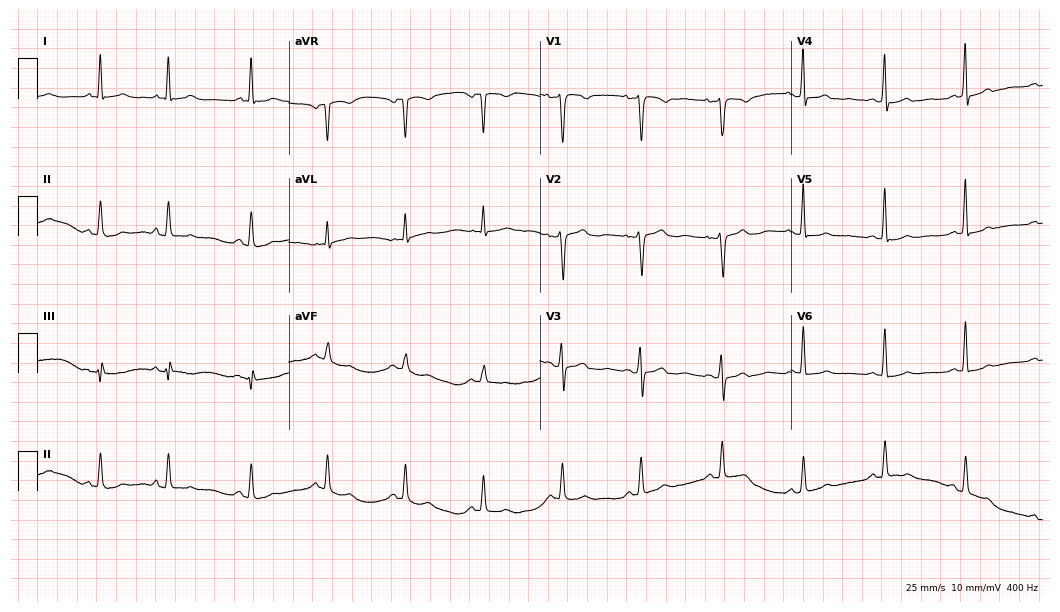
Electrocardiogram (10.2-second recording at 400 Hz), a 54-year-old woman. Overall reading on record: normal ECG.